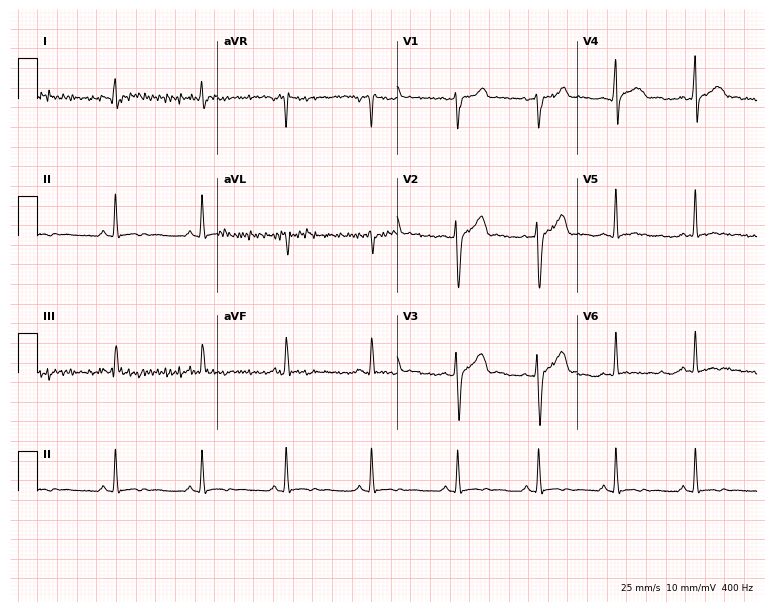
ECG (7.3-second recording at 400 Hz) — a male patient, 26 years old. Screened for six findings — first-degree AV block, right bundle branch block, left bundle branch block, sinus bradycardia, atrial fibrillation, sinus tachycardia — none is recorded.